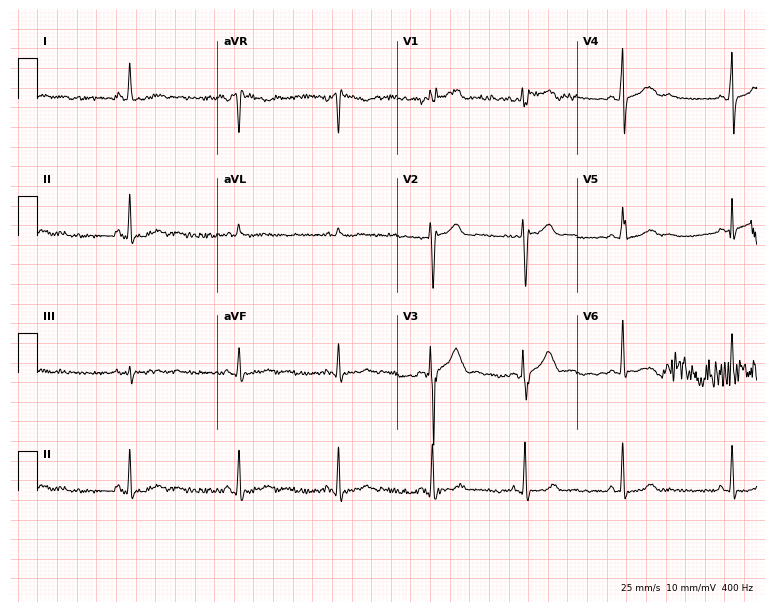
Electrocardiogram (7.3-second recording at 400 Hz), a male patient, 34 years old. Of the six screened findings (first-degree AV block, right bundle branch block, left bundle branch block, sinus bradycardia, atrial fibrillation, sinus tachycardia), none is recorded. Only these six findings were labelled.